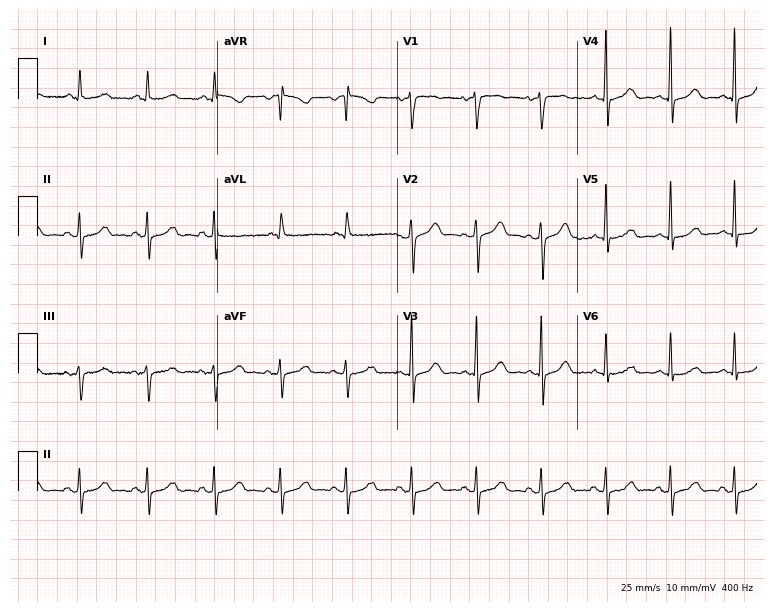
Standard 12-lead ECG recorded from an 85-year-old female. None of these six findings is recorded: first-degree AV block, right bundle branch block, left bundle branch block, sinus bradycardia, atrial fibrillation, sinus tachycardia.